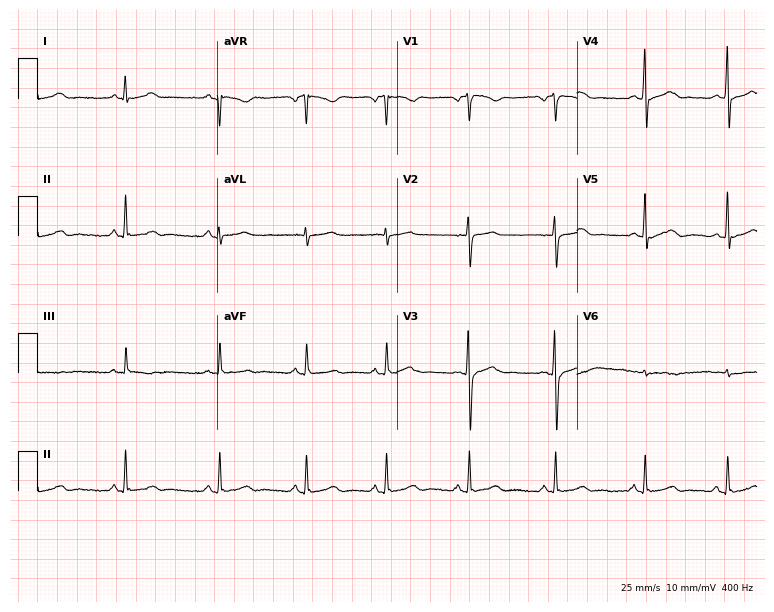
ECG — a male, 20 years old. Labelled as a normal ECG.